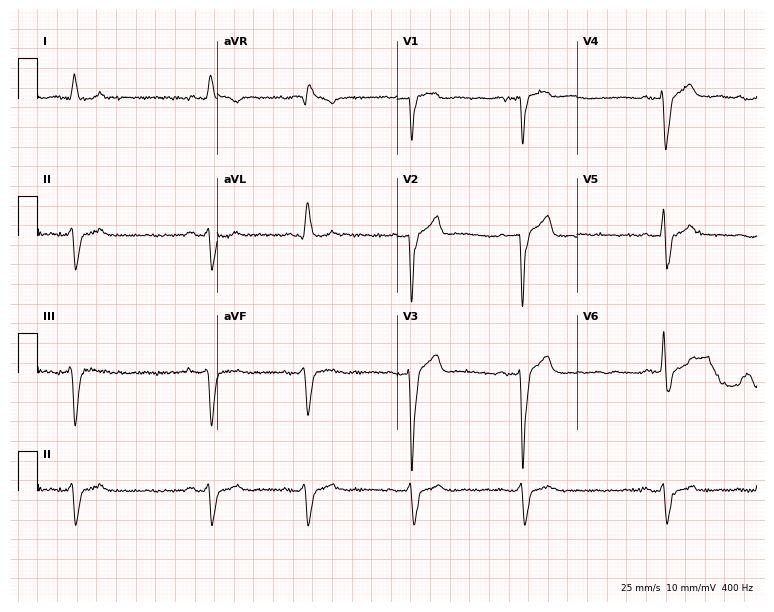
ECG — a 70-year-old man. Findings include left bundle branch block, sinus bradycardia (a sinus rate of 50 beats per minute or less), atrial fibrillation.